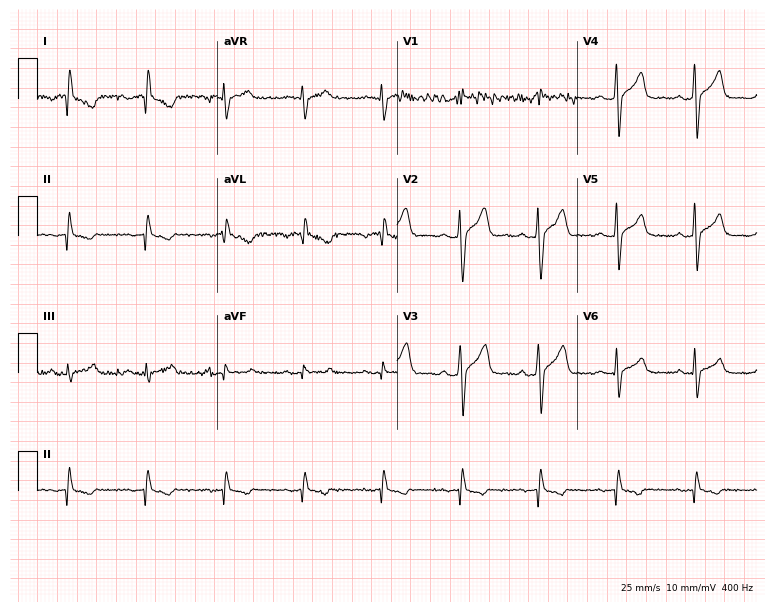
12-lead ECG from a 32-year-old man (7.3-second recording at 400 Hz). No first-degree AV block, right bundle branch block, left bundle branch block, sinus bradycardia, atrial fibrillation or sinus tachycardia recorded for this tracing.